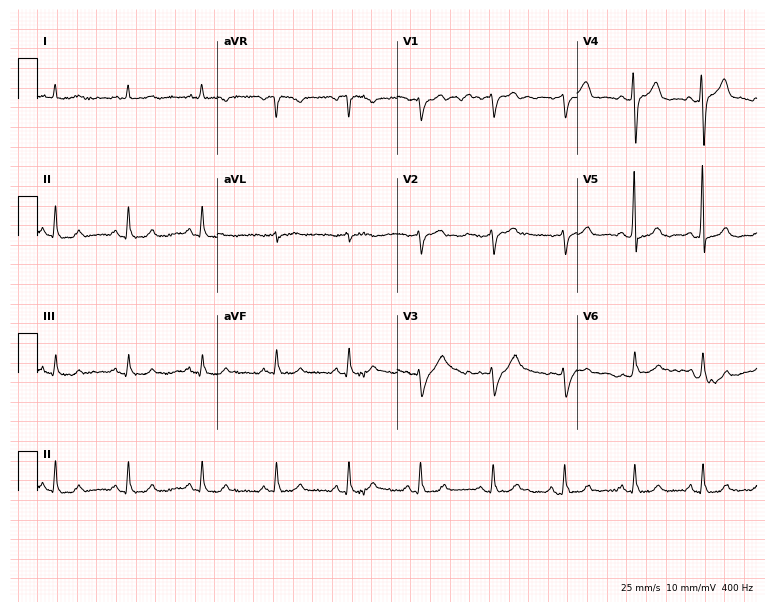
Standard 12-lead ECG recorded from a 73-year-old man. None of these six findings is recorded: first-degree AV block, right bundle branch block (RBBB), left bundle branch block (LBBB), sinus bradycardia, atrial fibrillation (AF), sinus tachycardia. Findings outside these six are not listed.